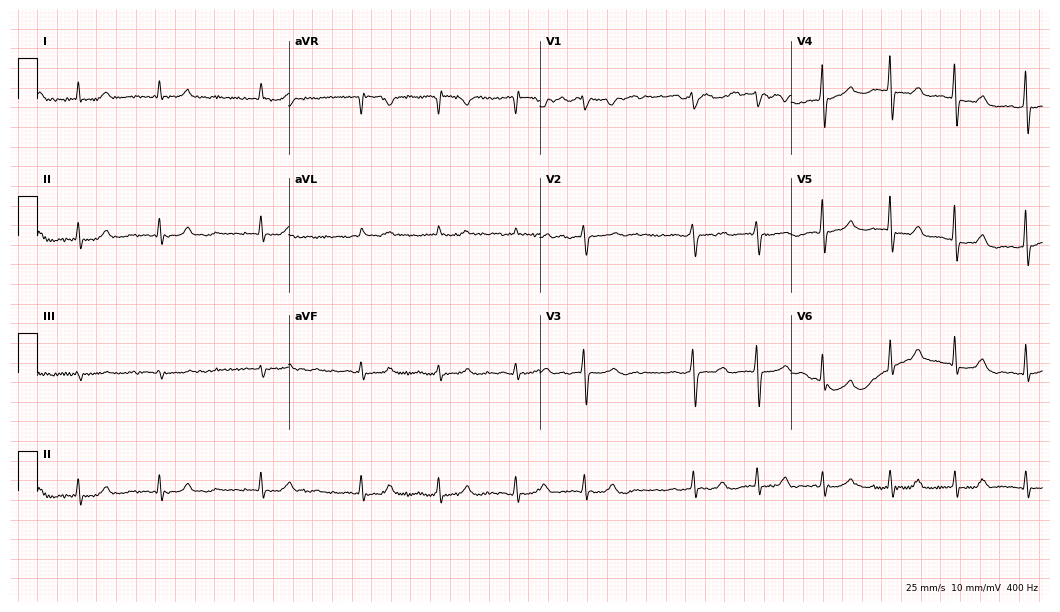
Resting 12-lead electrocardiogram (10.2-second recording at 400 Hz). Patient: a 65-year-old female. None of these six findings is recorded: first-degree AV block, right bundle branch block, left bundle branch block, sinus bradycardia, atrial fibrillation, sinus tachycardia.